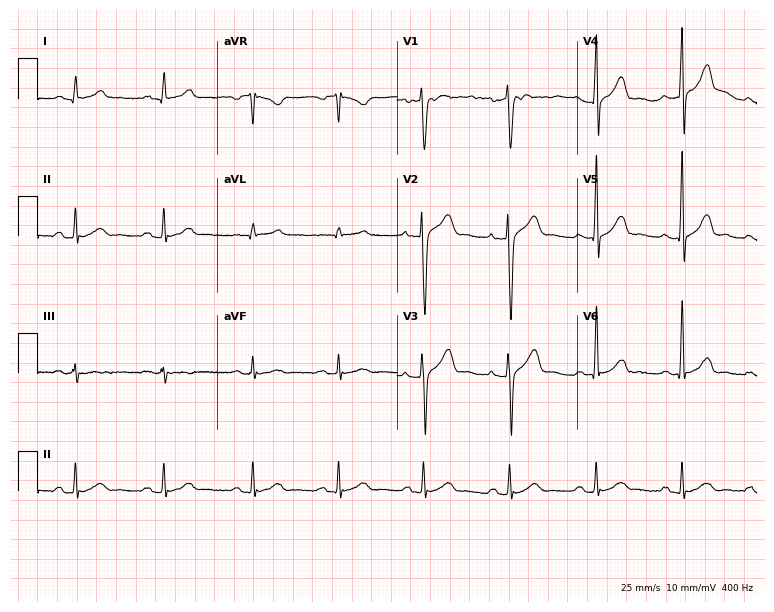
Resting 12-lead electrocardiogram. Patient: a male, 43 years old. None of these six findings is recorded: first-degree AV block, right bundle branch block, left bundle branch block, sinus bradycardia, atrial fibrillation, sinus tachycardia. Only these six findings were labelled.